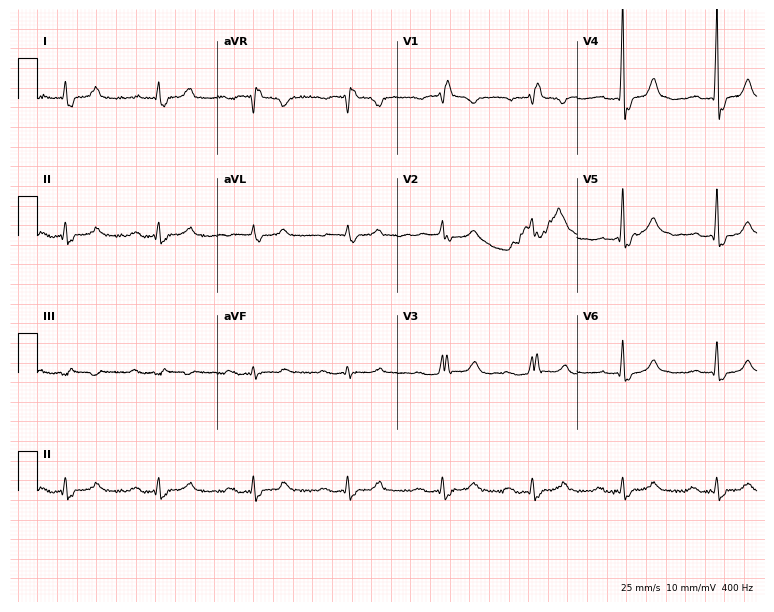
12-lead ECG from a male patient, 74 years old. Findings include first-degree AV block, right bundle branch block.